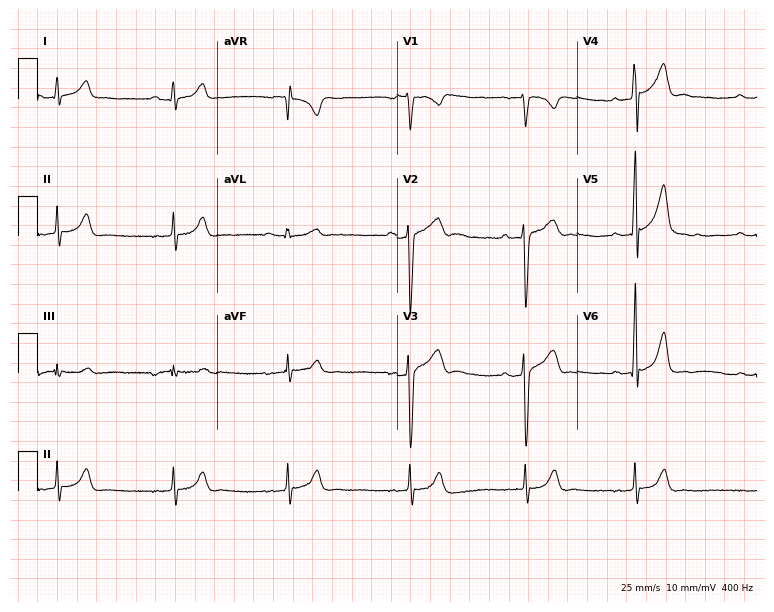
12-lead ECG from a male patient, 25 years old (7.3-second recording at 400 Hz). Recorded interpretation: within normal limits.